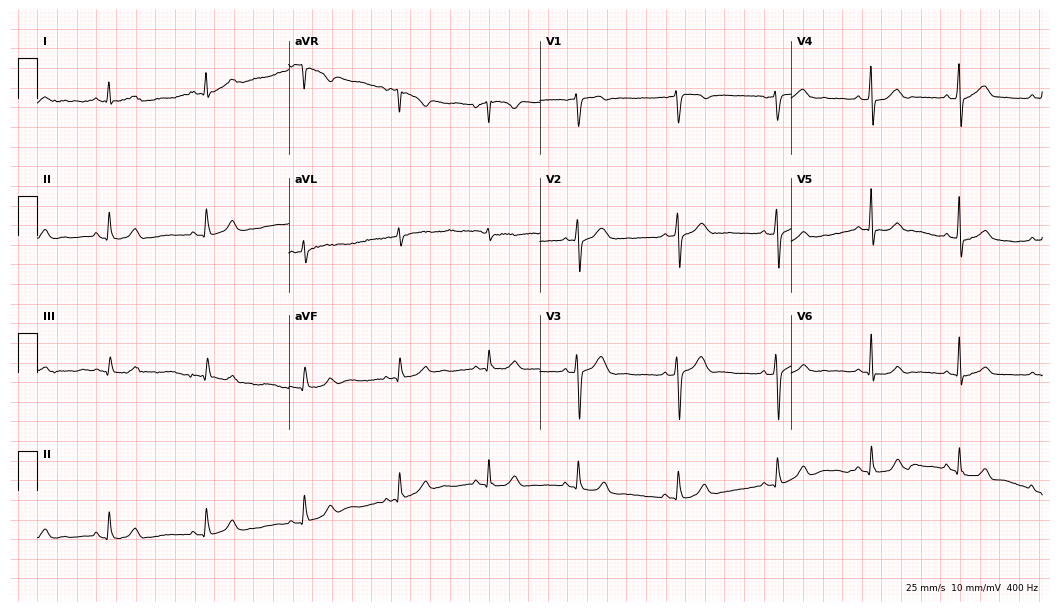
Standard 12-lead ECG recorded from a 29-year-old male. None of these six findings is recorded: first-degree AV block, right bundle branch block, left bundle branch block, sinus bradycardia, atrial fibrillation, sinus tachycardia. Other findings, if any, are not listed.